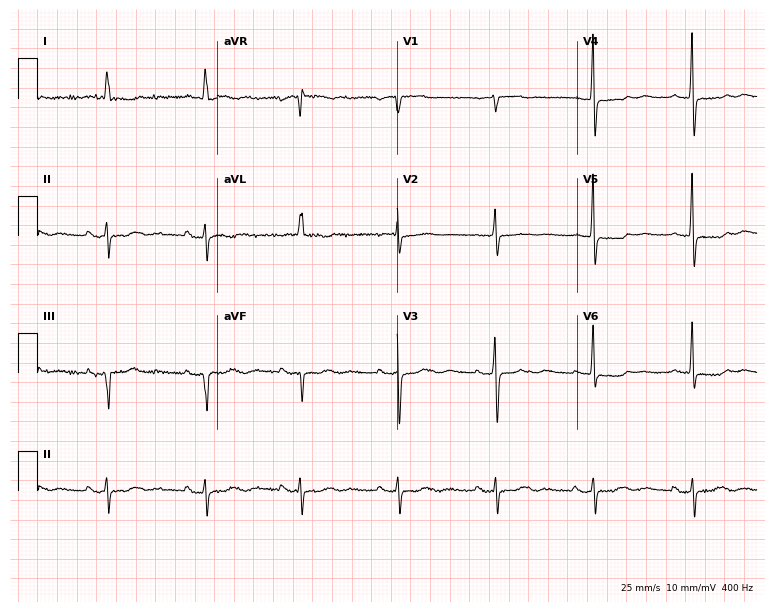
12-lead ECG from a female patient, 80 years old. No first-degree AV block, right bundle branch block, left bundle branch block, sinus bradycardia, atrial fibrillation or sinus tachycardia recorded for this tracing.